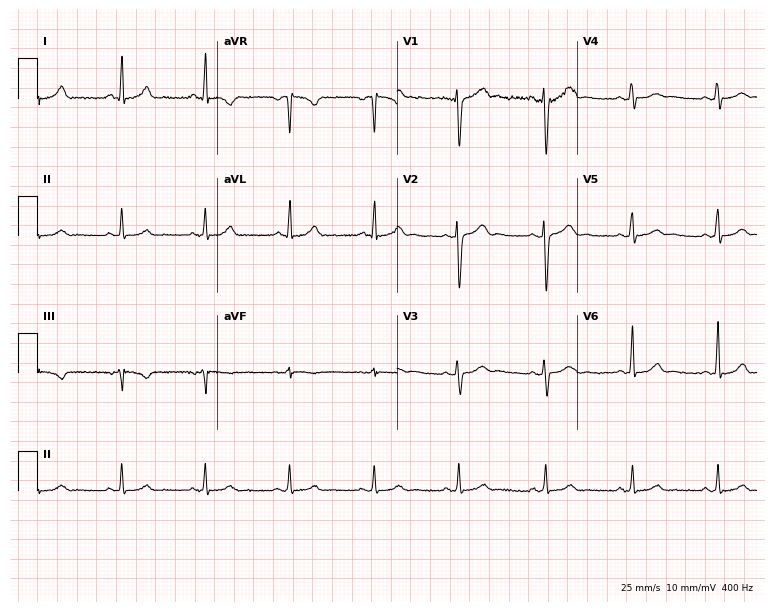
12-lead ECG from a man, 47 years old. No first-degree AV block, right bundle branch block (RBBB), left bundle branch block (LBBB), sinus bradycardia, atrial fibrillation (AF) or sinus tachycardia recorded for this tracing. Findings outside these six are not listed.